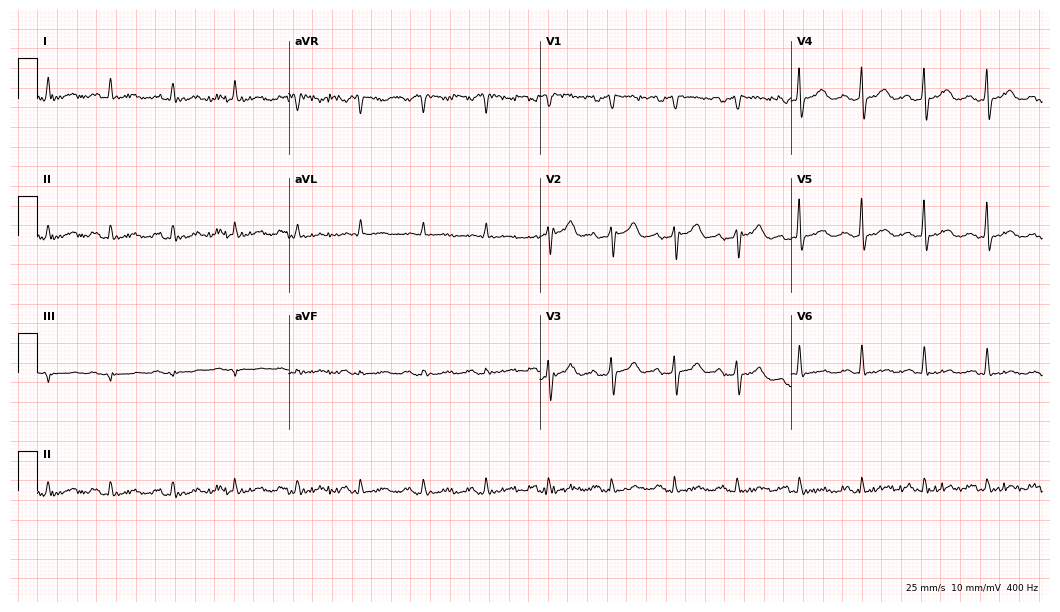
12-lead ECG (10.2-second recording at 400 Hz) from a 58-year-old male patient. Labelled as a normal ECG.